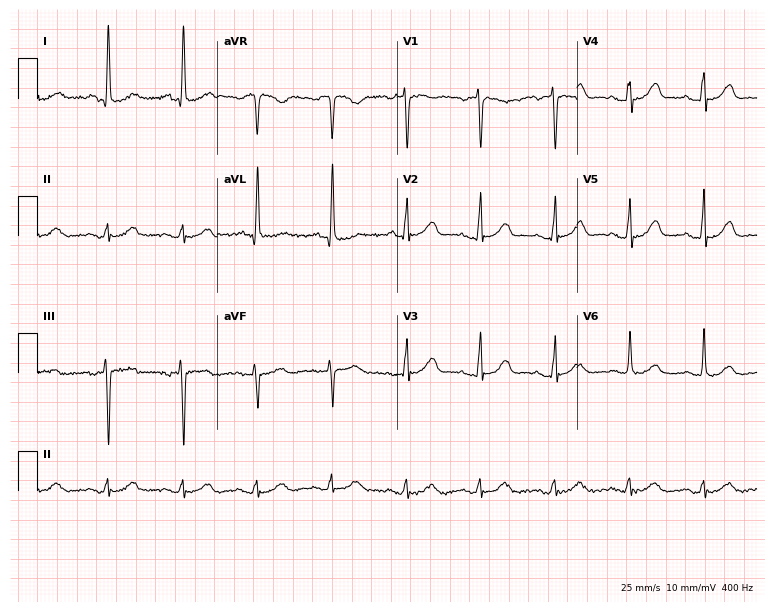
Electrocardiogram (7.3-second recording at 400 Hz), an 82-year-old female patient. Of the six screened findings (first-degree AV block, right bundle branch block, left bundle branch block, sinus bradycardia, atrial fibrillation, sinus tachycardia), none is recorded.